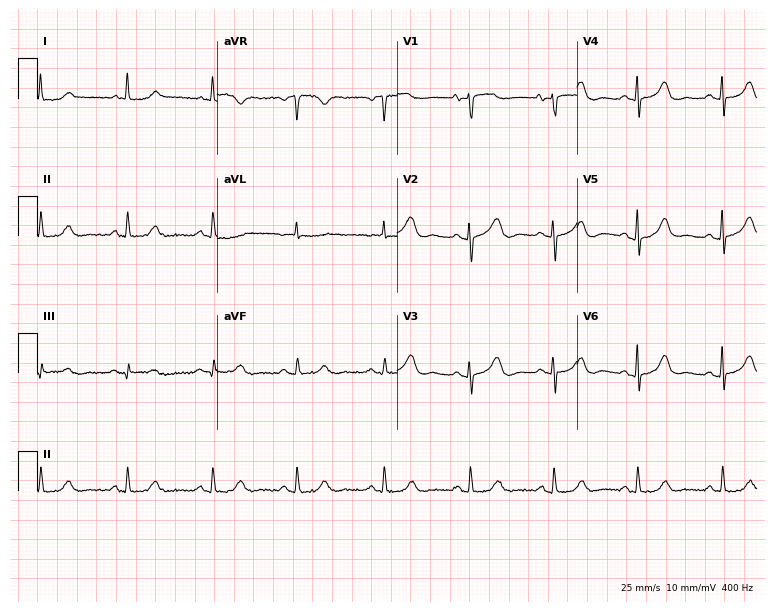
Electrocardiogram (7.3-second recording at 400 Hz), a 73-year-old woman. Overall reading on record: normal ECG.